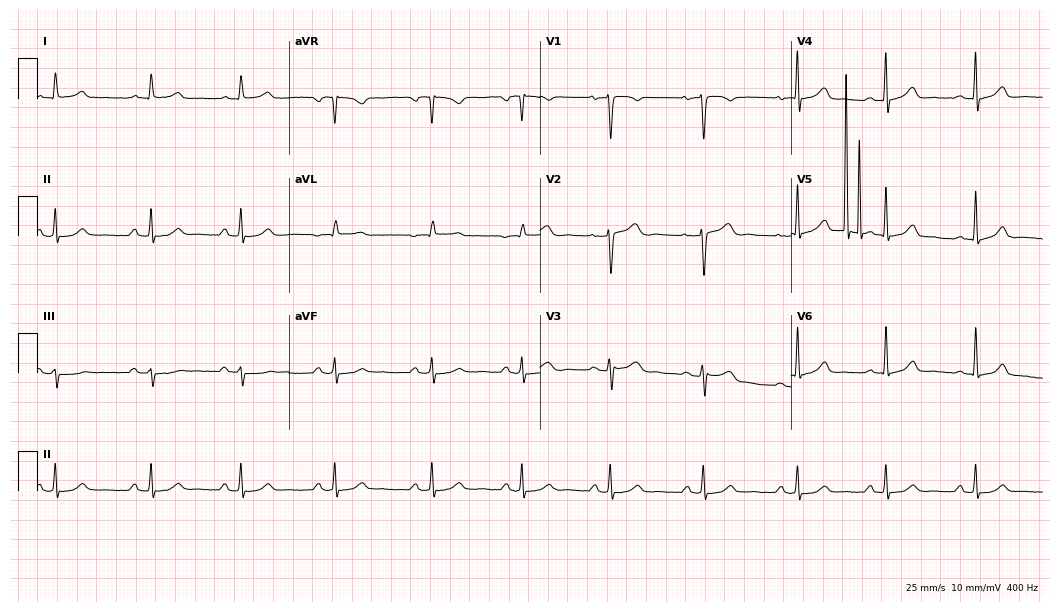
12-lead ECG from a woman, 32 years old (10.2-second recording at 400 Hz). Recorded interpretation: within normal limits.